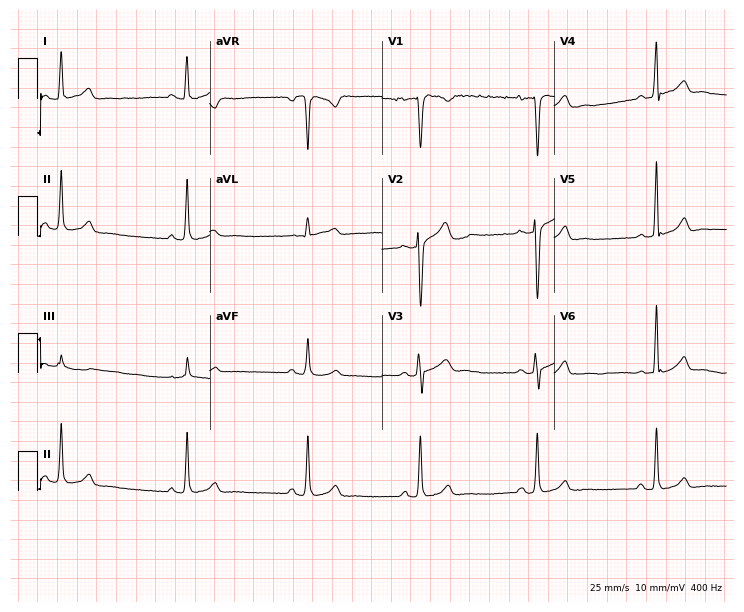
ECG — a male, 33 years old. Labelled as a normal ECG.